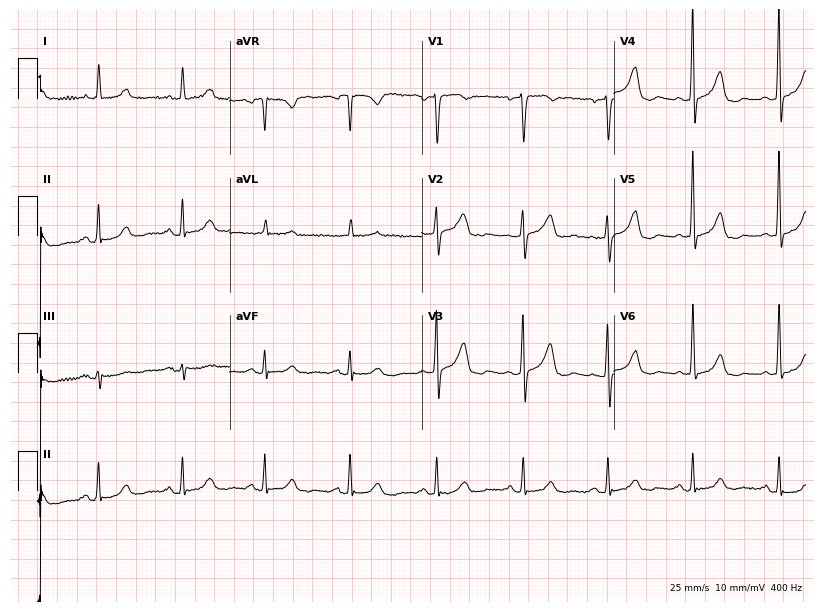
ECG — a 79-year-old woman. Screened for six findings — first-degree AV block, right bundle branch block, left bundle branch block, sinus bradycardia, atrial fibrillation, sinus tachycardia — none is recorded. Only these six findings were labelled.